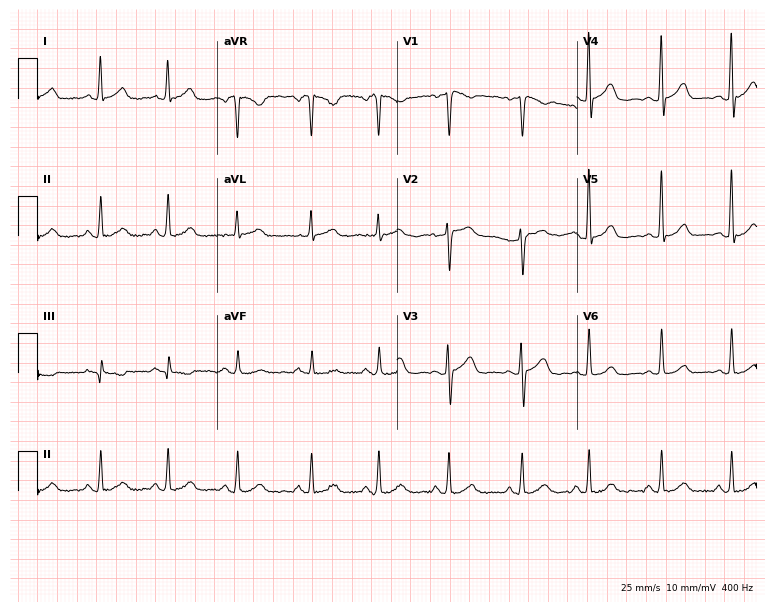
12-lead ECG from a female patient, 42 years old. Screened for six findings — first-degree AV block, right bundle branch block (RBBB), left bundle branch block (LBBB), sinus bradycardia, atrial fibrillation (AF), sinus tachycardia — none is recorded. Only these six findings were labelled.